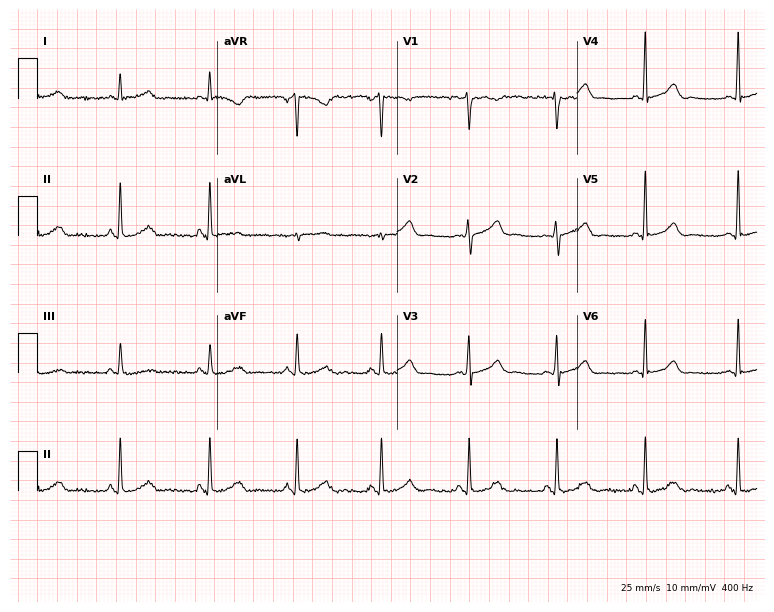
Standard 12-lead ECG recorded from a female patient, 37 years old (7.3-second recording at 400 Hz). Read as a normal ECG.